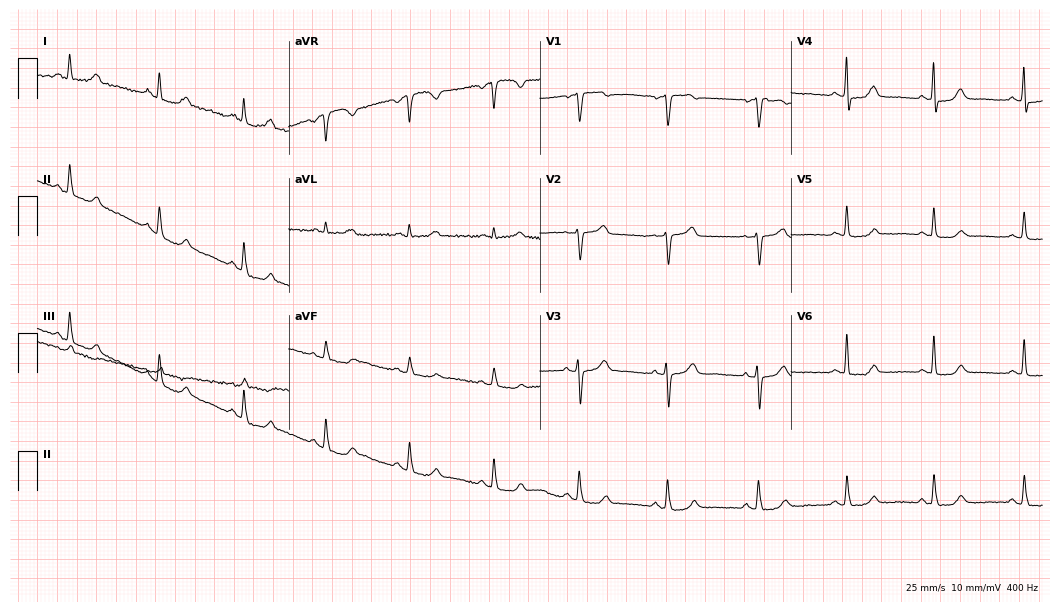
12-lead ECG from a female, 67 years old (10.2-second recording at 400 Hz). No first-degree AV block, right bundle branch block, left bundle branch block, sinus bradycardia, atrial fibrillation or sinus tachycardia recorded for this tracing.